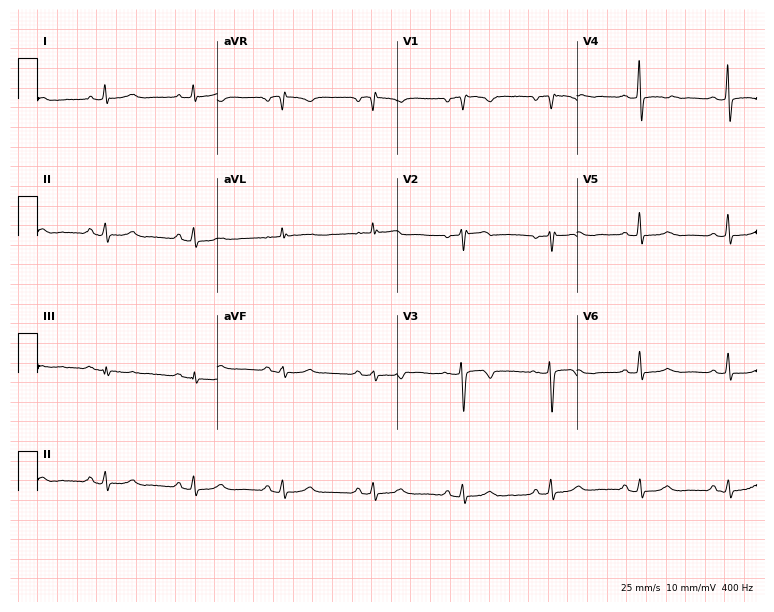
12-lead ECG from a 50-year-old female. Screened for six findings — first-degree AV block, right bundle branch block, left bundle branch block, sinus bradycardia, atrial fibrillation, sinus tachycardia — none is recorded. Other findings, if any, are not listed.